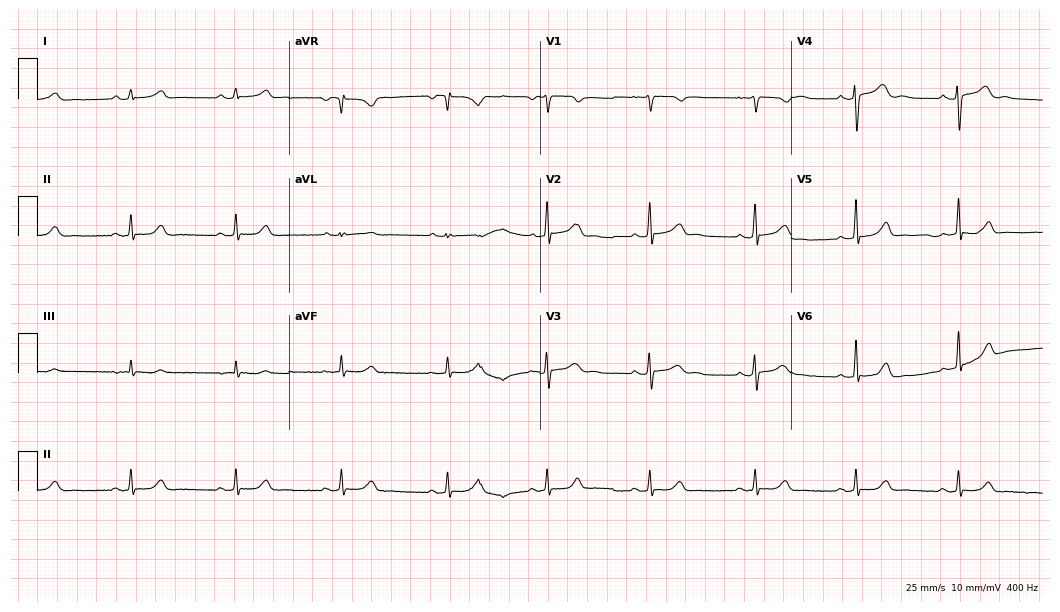
ECG — a female, 20 years old. Labelled as a normal ECG.